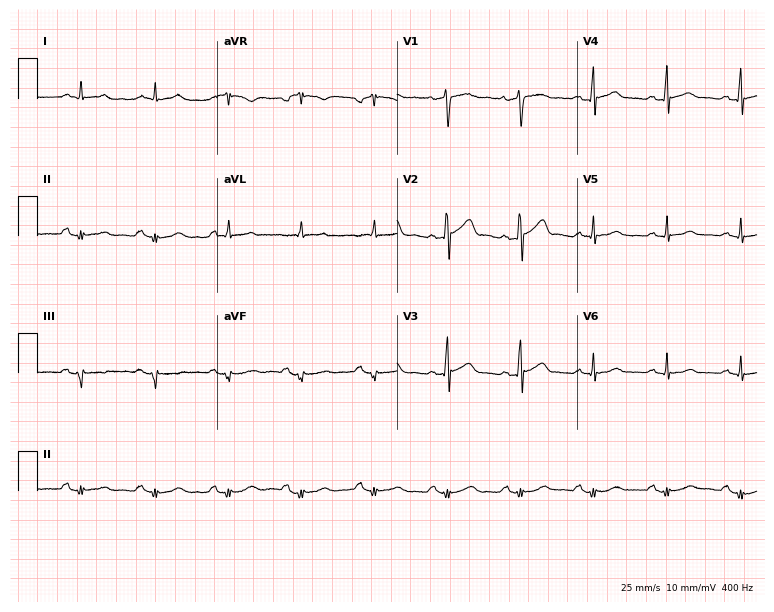
12-lead ECG from a male patient, 60 years old (7.3-second recording at 400 Hz). Recorded interpretation: within normal limits.